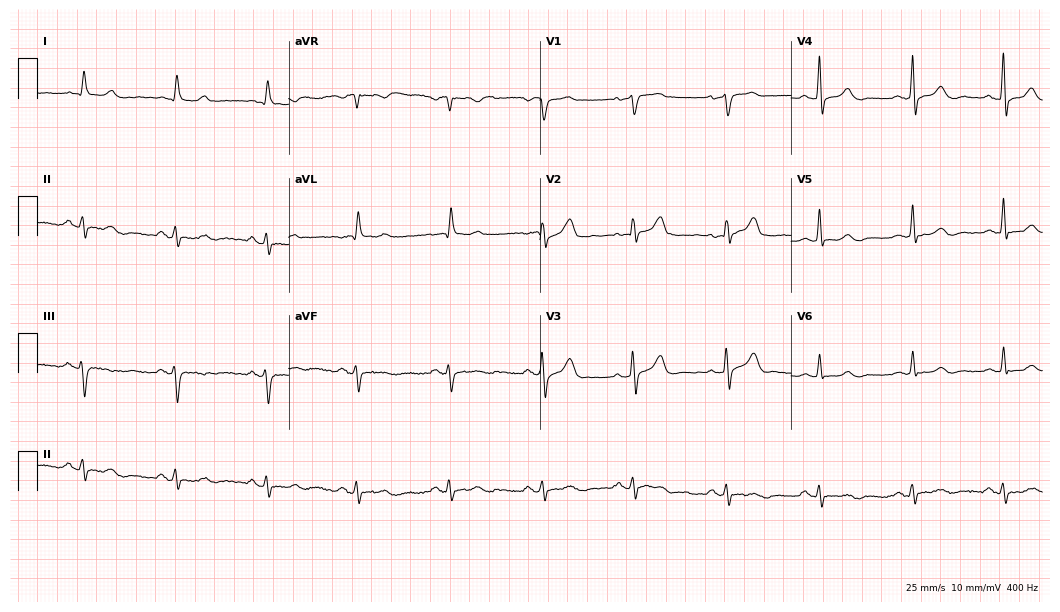
ECG — a female, 76 years old. Screened for six findings — first-degree AV block, right bundle branch block, left bundle branch block, sinus bradycardia, atrial fibrillation, sinus tachycardia — none is recorded.